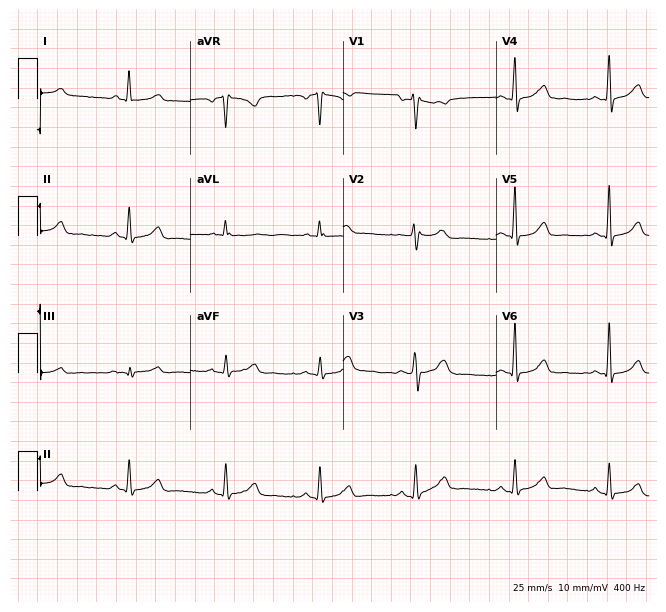
12-lead ECG (6.2-second recording at 400 Hz) from a 42-year-old female patient. Screened for six findings — first-degree AV block, right bundle branch block, left bundle branch block, sinus bradycardia, atrial fibrillation, sinus tachycardia — none is recorded. Other findings, if any, are not listed.